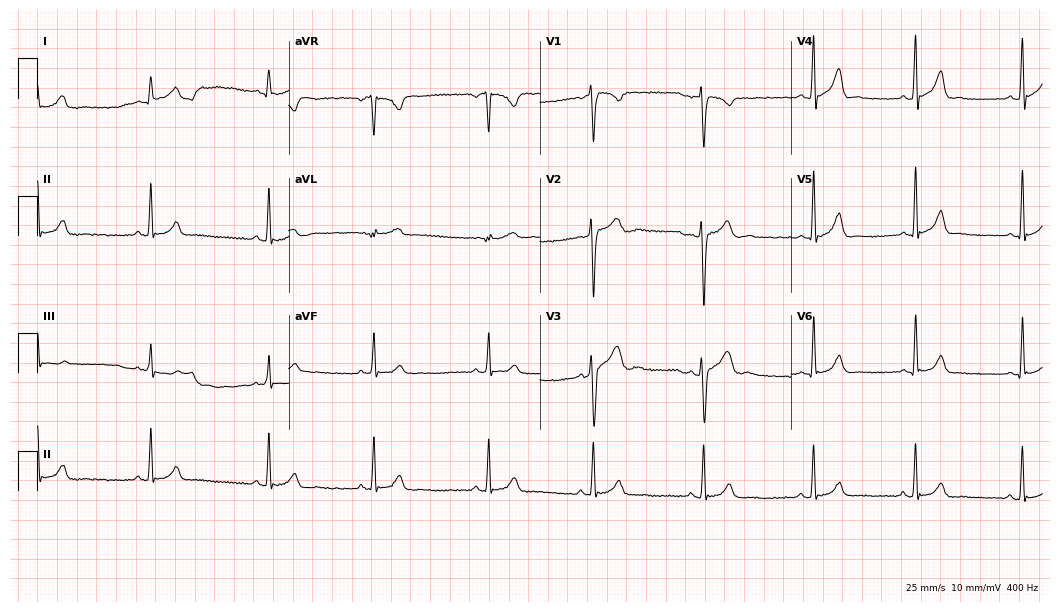
Standard 12-lead ECG recorded from a man, 21 years old. Read as a normal ECG.